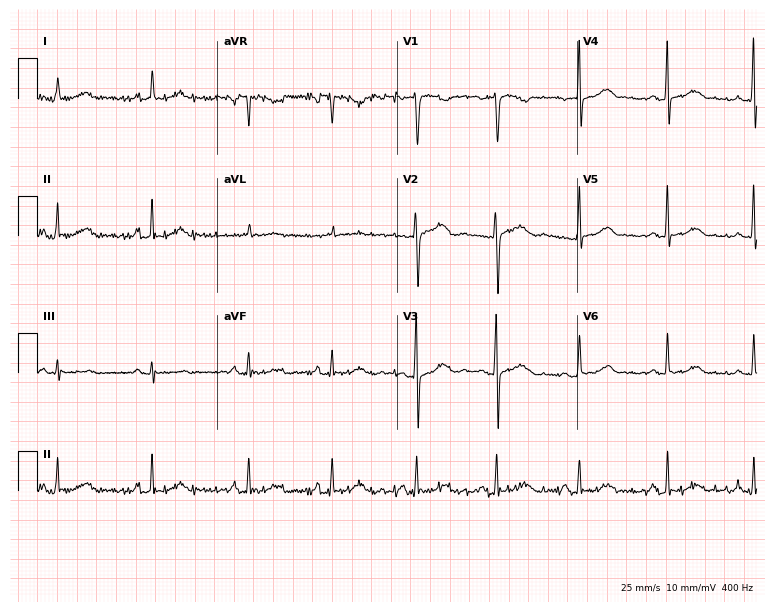
12-lead ECG from a woman, 44 years old. Recorded interpretation: within normal limits.